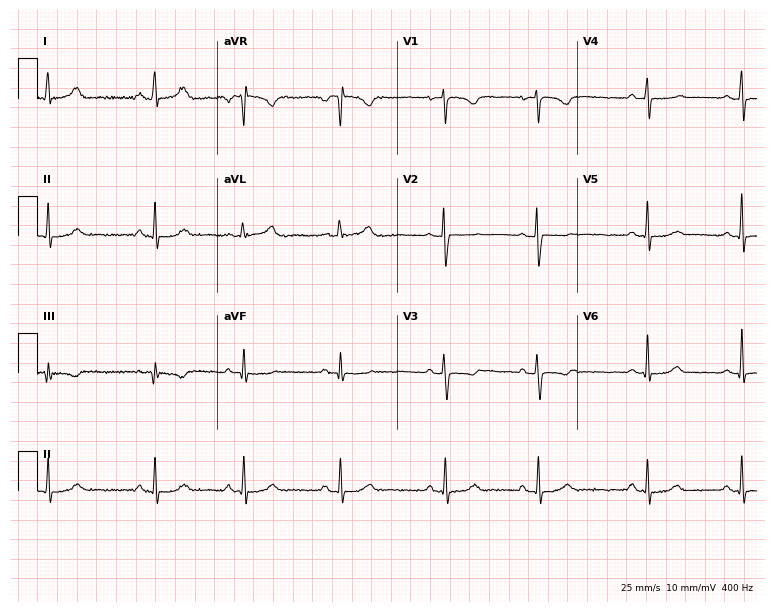
12-lead ECG from a 34-year-old female. Labelled as a normal ECG.